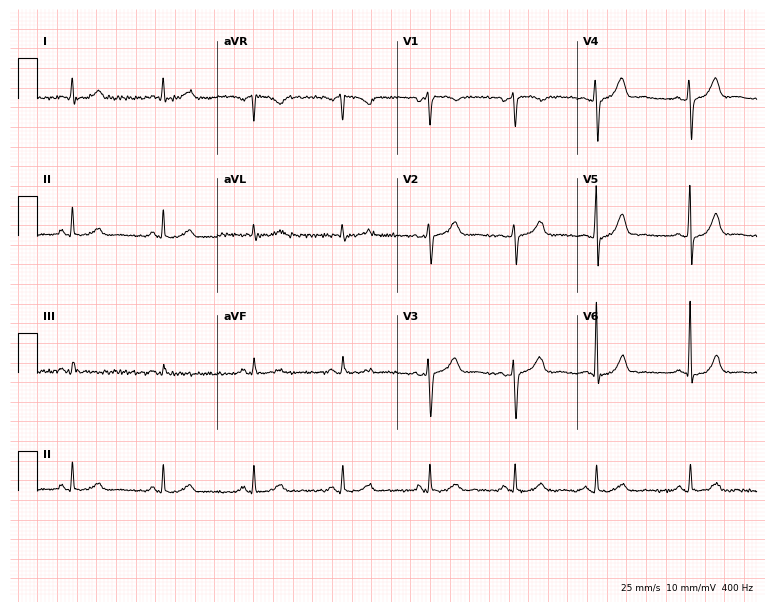
Standard 12-lead ECG recorded from a 49-year-old male patient. Read as a normal ECG.